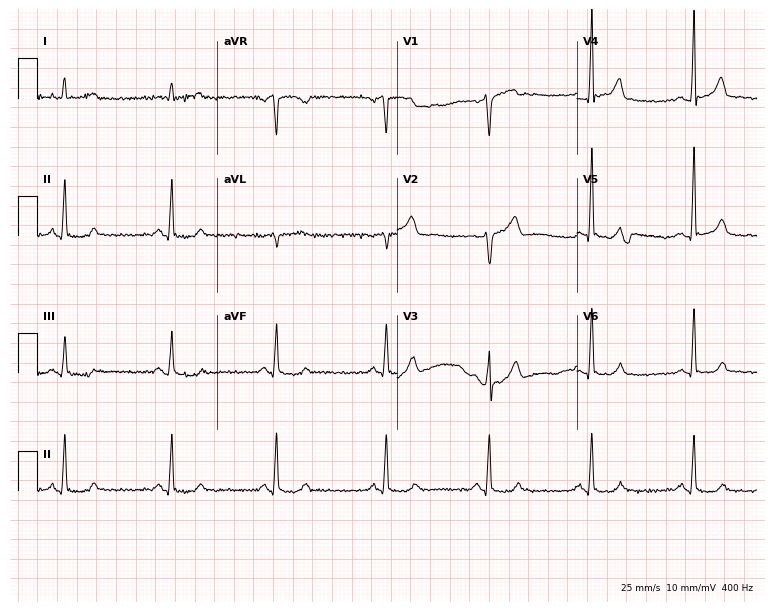
Electrocardiogram, a 65-year-old male. Of the six screened findings (first-degree AV block, right bundle branch block (RBBB), left bundle branch block (LBBB), sinus bradycardia, atrial fibrillation (AF), sinus tachycardia), none is recorded. Findings outside these six are not listed.